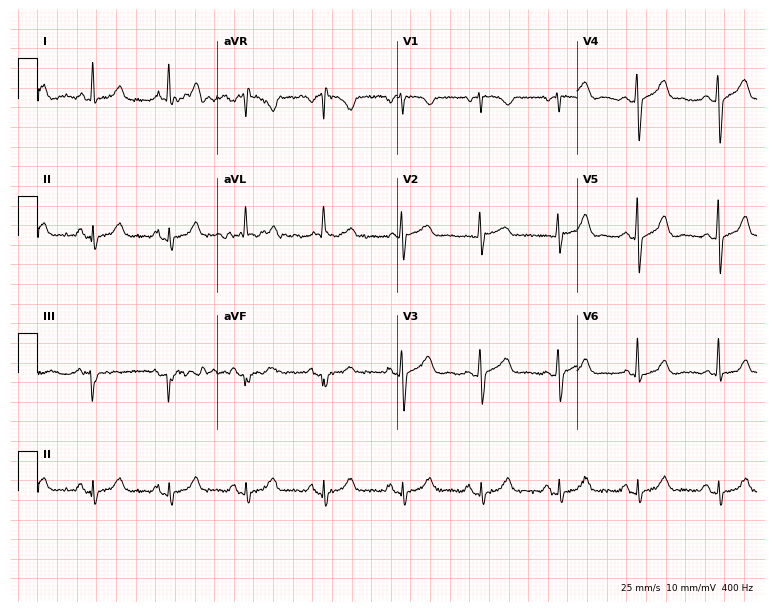
Standard 12-lead ECG recorded from a 69-year-old female patient (7.3-second recording at 400 Hz). None of these six findings is recorded: first-degree AV block, right bundle branch block (RBBB), left bundle branch block (LBBB), sinus bradycardia, atrial fibrillation (AF), sinus tachycardia.